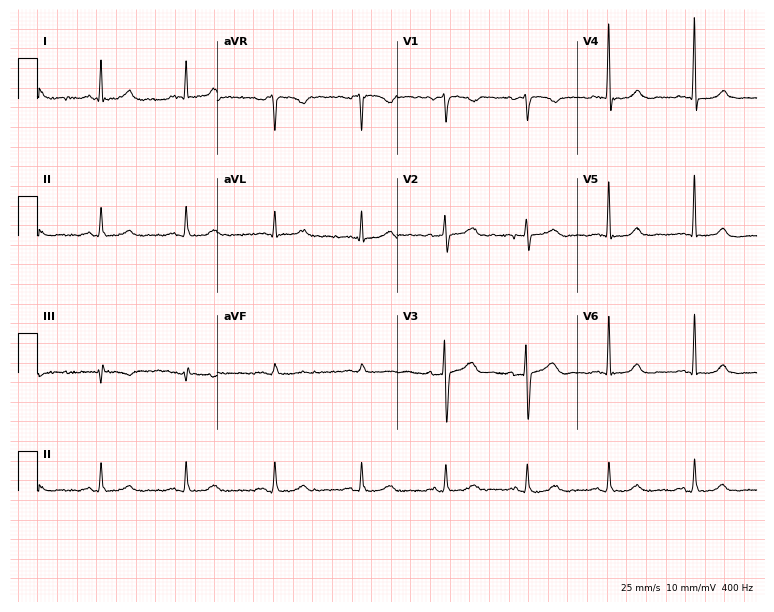
Electrocardiogram (7.3-second recording at 400 Hz), a 45-year-old female. Of the six screened findings (first-degree AV block, right bundle branch block, left bundle branch block, sinus bradycardia, atrial fibrillation, sinus tachycardia), none is recorded. Findings outside these six are not listed.